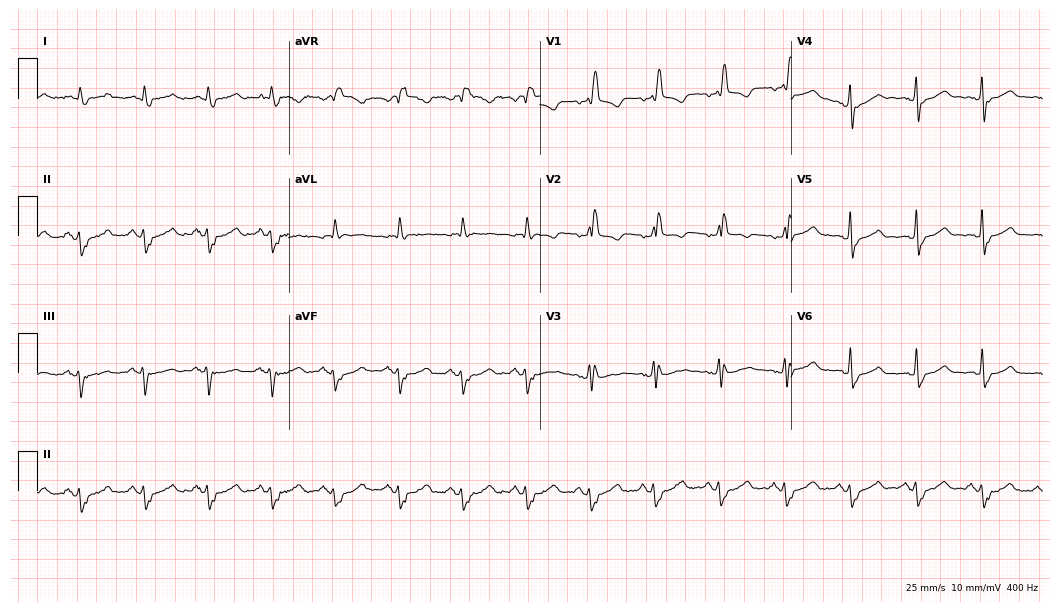
Electrocardiogram (10.2-second recording at 400 Hz), a man, 68 years old. Interpretation includes right bundle branch block (RBBB).